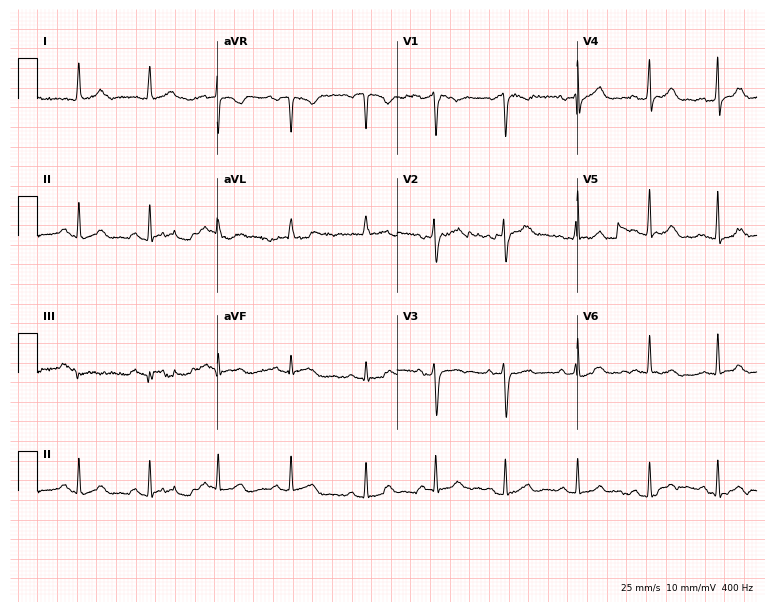
Electrocardiogram, a male patient, 37 years old. Of the six screened findings (first-degree AV block, right bundle branch block, left bundle branch block, sinus bradycardia, atrial fibrillation, sinus tachycardia), none is recorded. Only these six findings were labelled.